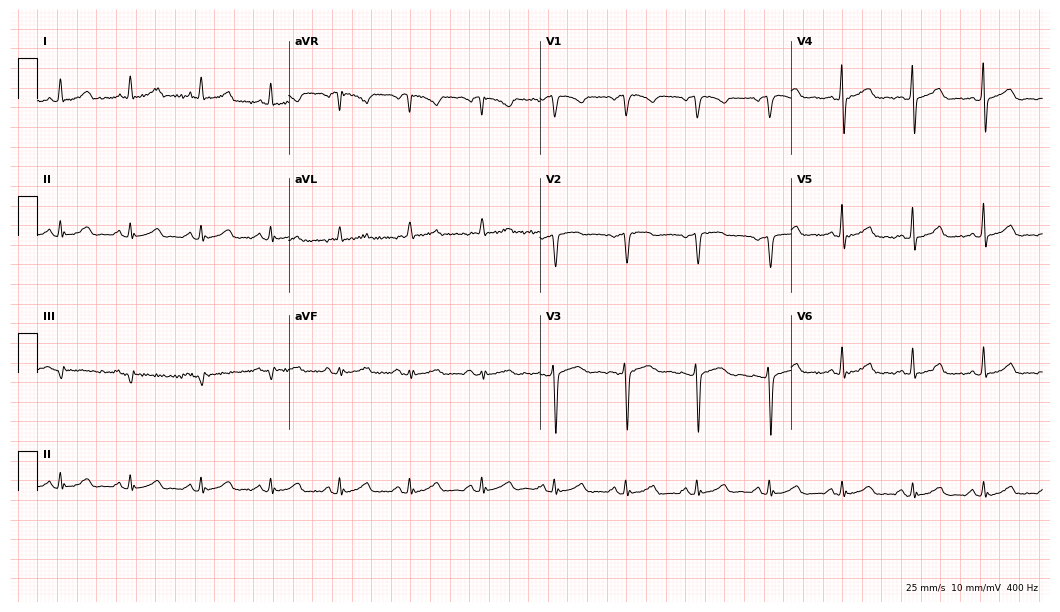
Resting 12-lead electrocardiogram. Patient: a 53-year-old female. None of these six findings is recorded: first-degree AV block, right bundle branch block (RBBB), left bundle branch block (LBBB), sinus bradycardia, atrial fibrillation (AF), sinus tachycardia.